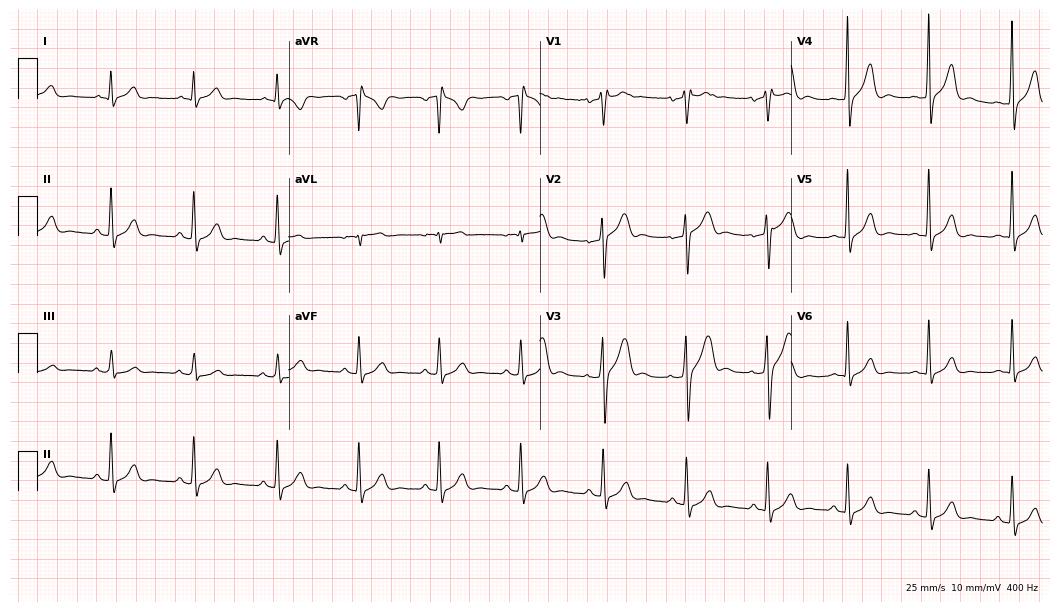
ECG — a male patient, 45 years old. Labelled as a normal ECG.